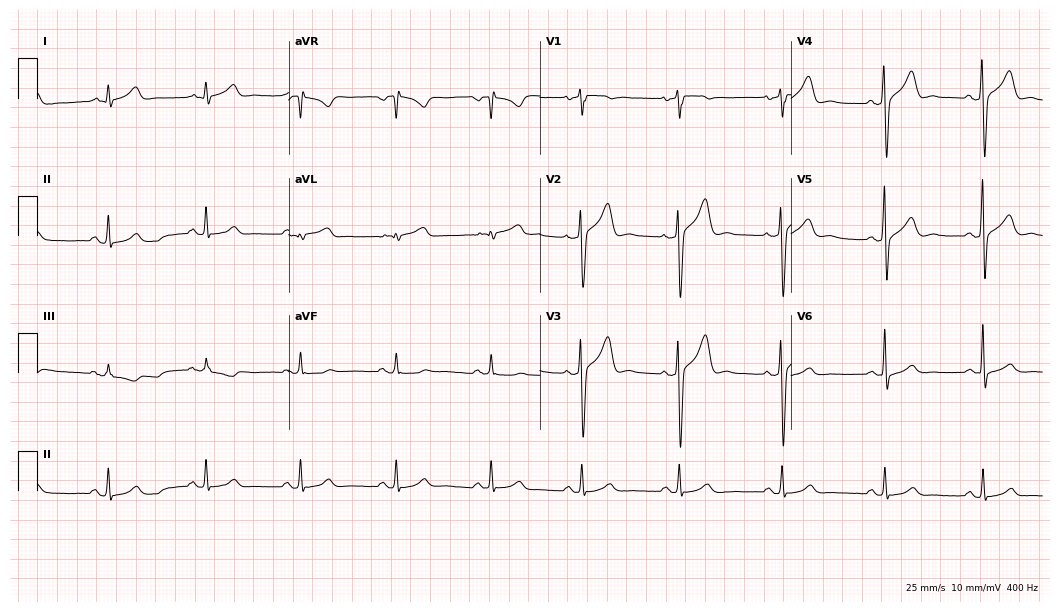
Resting 12-lead electrocardiogram. Patient: a 72-year-old woman. Read as a normal ECG.